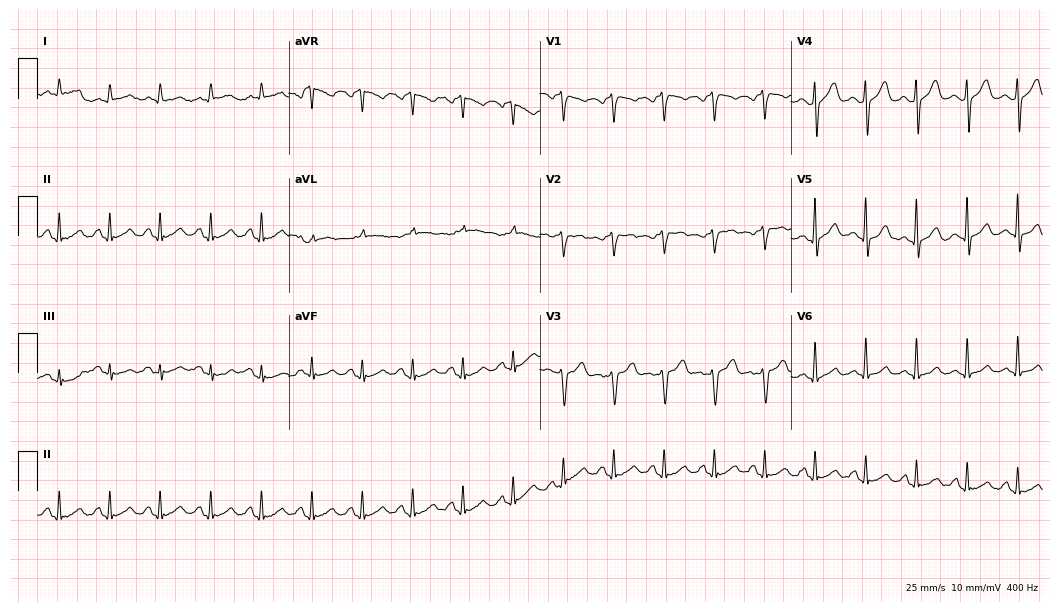
Electrocardiogram (10.2-second recording at 400 Hz), a male patient, 46 years old. Interpretation includes sinus tachycardia (a sinus rate of 100 beats per minute or more).